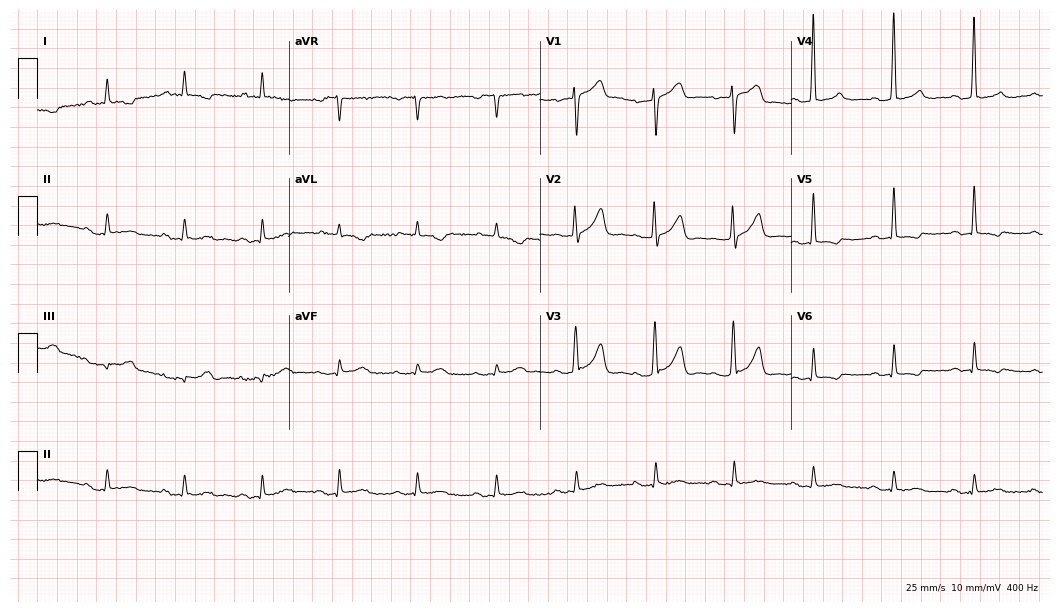
ECG (10.2-second recording at 400 Hz) — a female patient, 76 years old. Screened for six findings — first-degree AV block, right bundle branch block (RBBB), left bundle branch block (LBBB), sinus bradycardia, atrial fibrillation (AF), sinus tachycardia — none is recorded. Other findings, if any, are not listed.